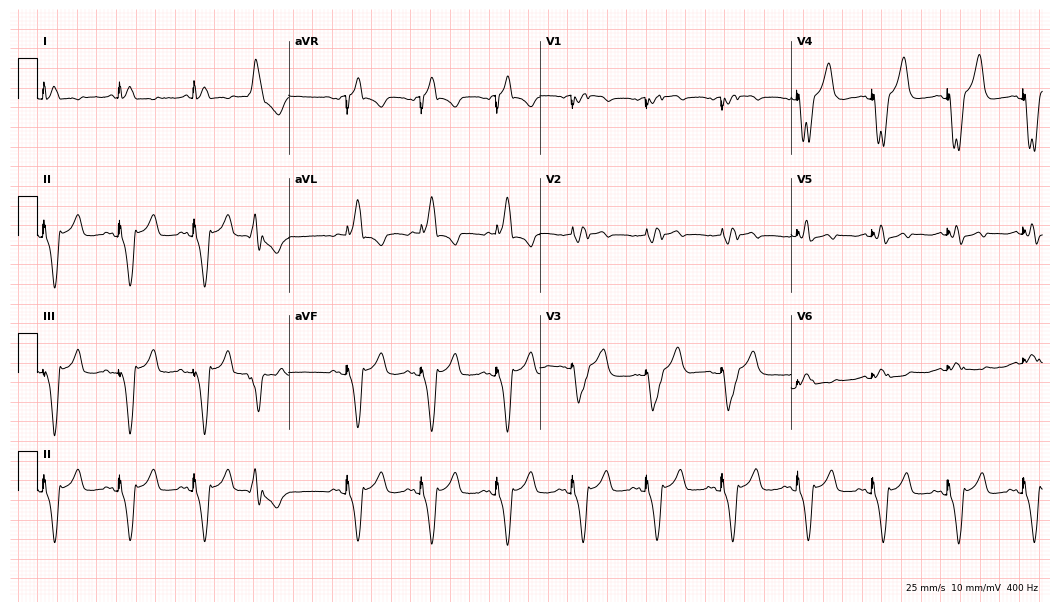
Standard 12-lead ECG recorded from an 84-year-old male patient. None of these six findings is recorded: first-degree AV block, right bundle branch block (RBBB), left bundle branch block (LBBB), sinus bradycardia, atrial fibrillation (AF), sinus tachycardia.